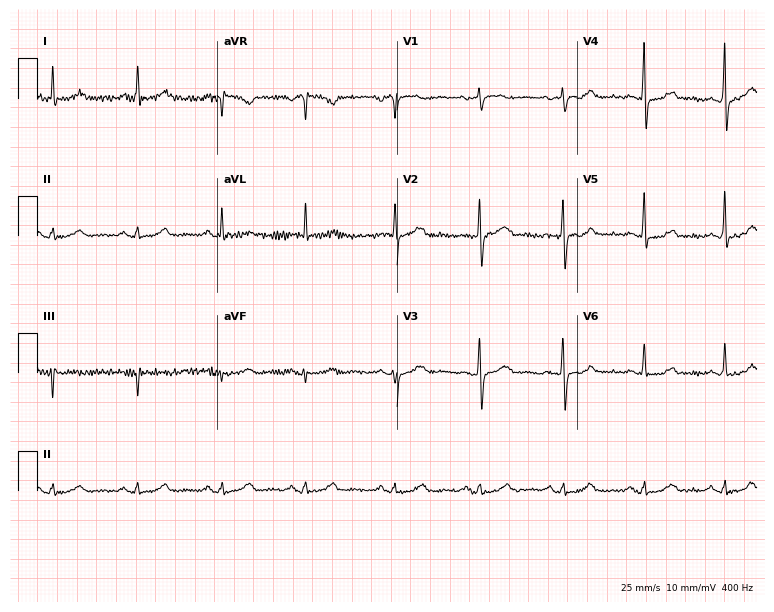
12-lead ECG from a female patient, 65 years old (7.3-second recording at 400 Hz). No first-degree AV block, right bundle branch block, left bundle branch block, sinus bradycardia, atrial fibrillation or sinus tachycardia recorded for this tracing.